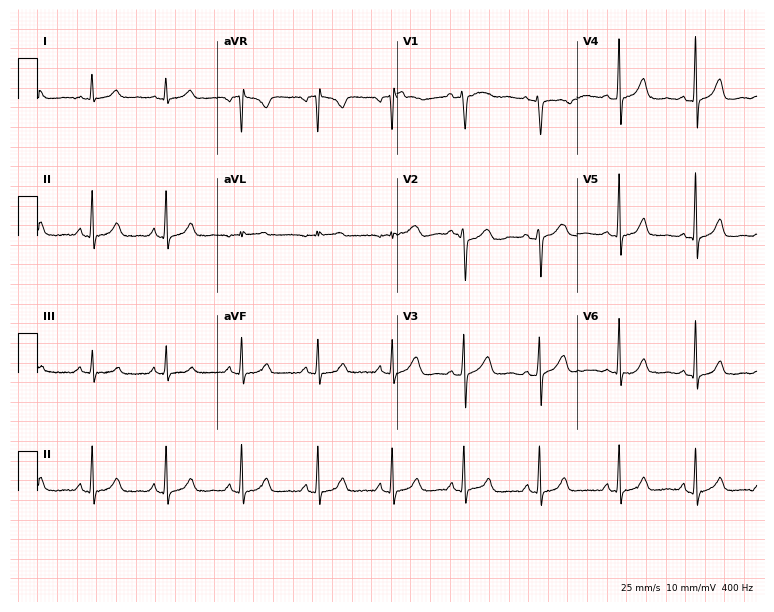
12-lead ECG from a 35-year-old woman. Labelled as a normal ECG.